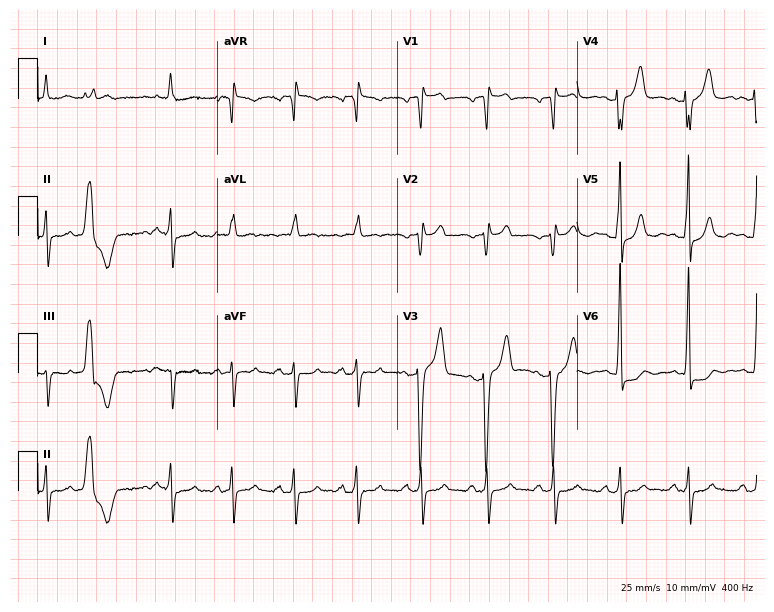
12-lead ECG from a 77-year-old male patient. Screened for six findings — first-degree AV block, right bundle branch block, left bundle branch block, sinus bradycardia, atrial fibrillation, sinus tachycardia — none is recorded.